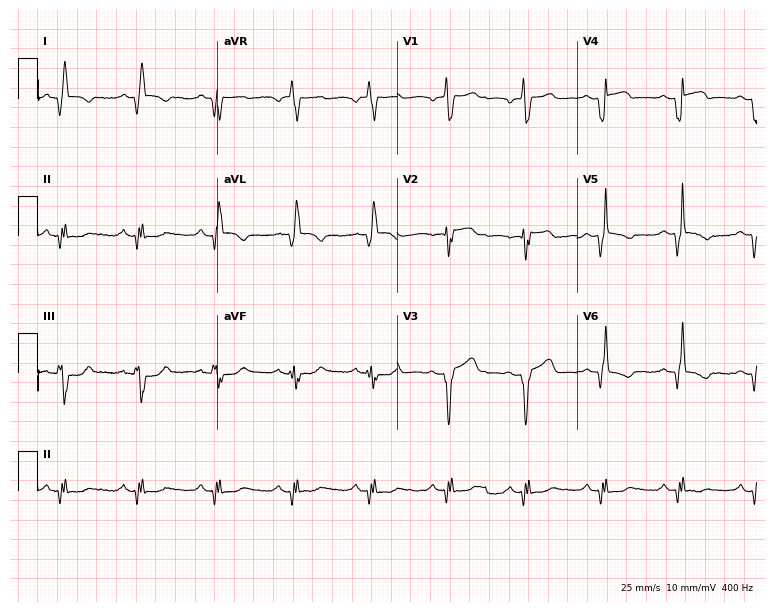
12-lead ECG from a 64-year-old male. Screened for six findings — first-degree AV block, right bundle branch block, left bundle branch block, sinus bradycardia, atrial fibrillation, sinus tachycardia — none is recorded.